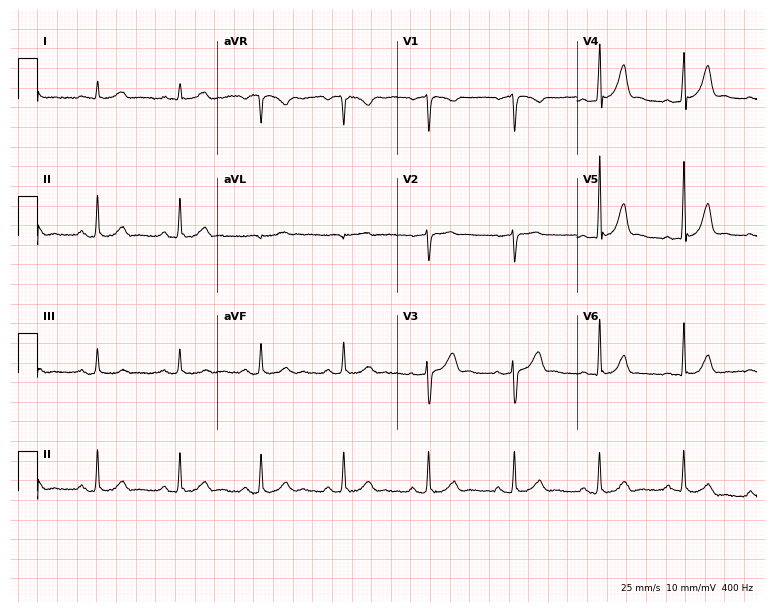
Electrocardiogram, a 44-year-old male. Of the six screened findings (first-degree AV block, right bundle branch block, left bundle branch block, sinus bradycardia, atrial fibrillation, sinus tachycardia), none is recorded.